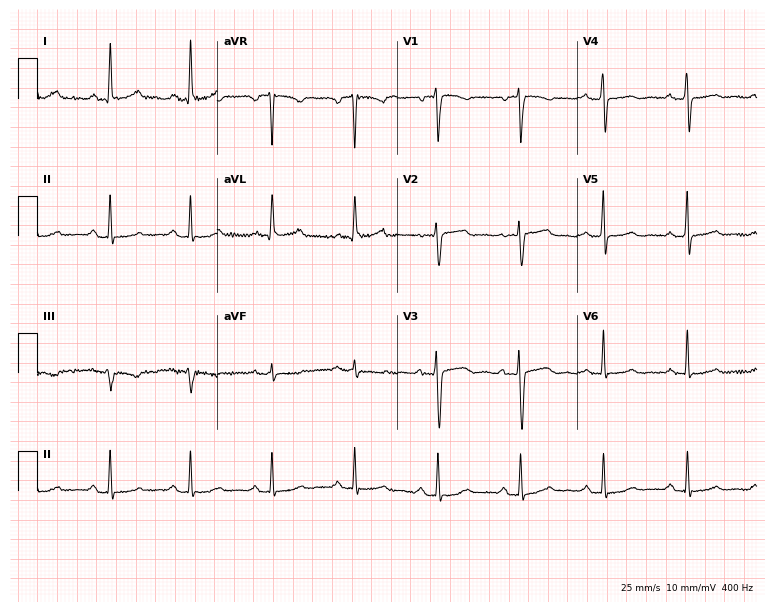
Standard 12-lead ECG recorded from a female, 65 years old (7.3-second recording at 400 Hz). None of these six findings is recorded: first-degree AV block, right bundle branch block (RBBB), left bundle branch block (LBBB), sinus bradycardia, atrial fibrillation (AF), sinus tachycardia.